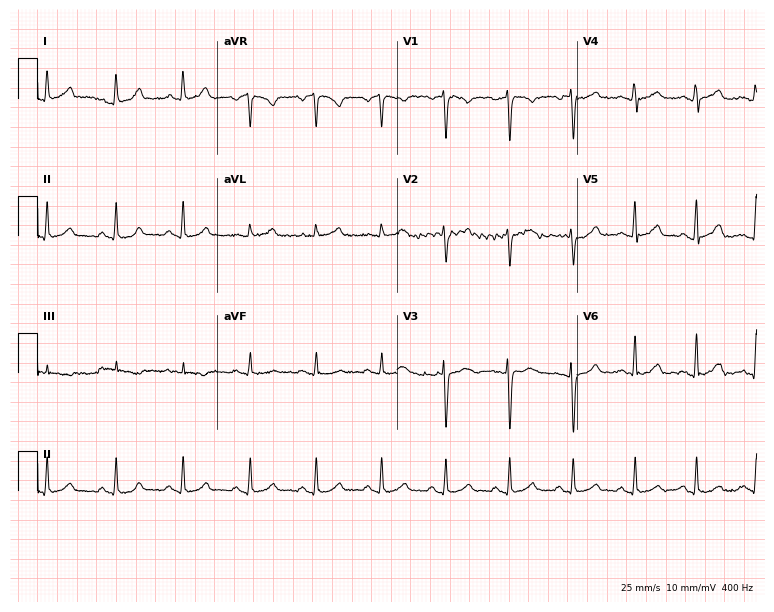
Standard 12-lead ECG recorded from a 24-year-old female. None of these six findings is recorded: first-degree AV block, right bundle branch block, left bundle branch block, sinus bradycardia, atrial fibrillation, sinus tachycardia. Findings outside these six are not listed.